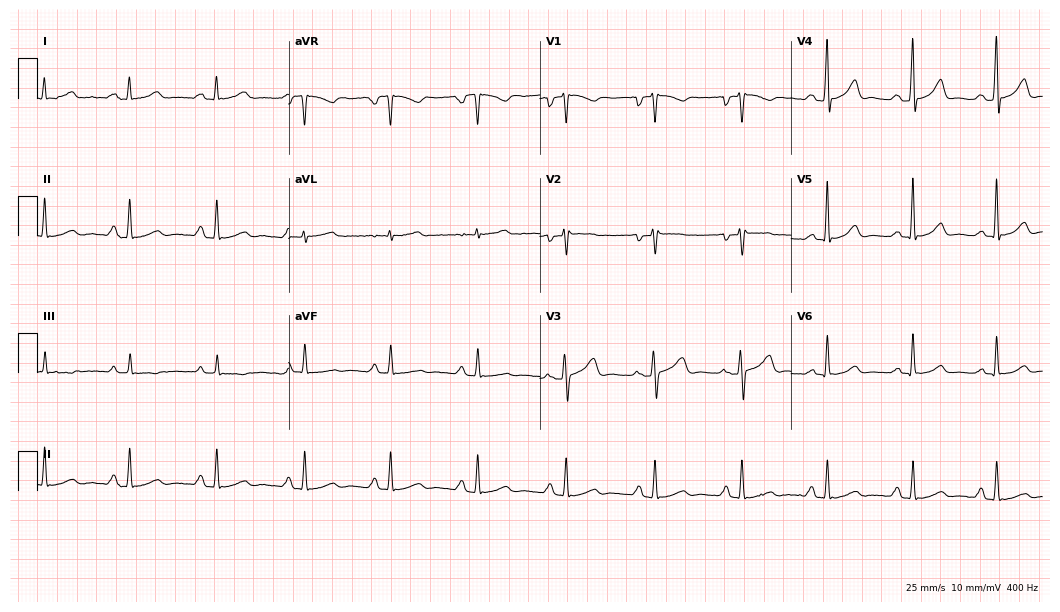
Standard 12-lead ECG recorded from a female patient, 25 years old (10.2-second recording at 400 Hz). Read as a normal ECG.